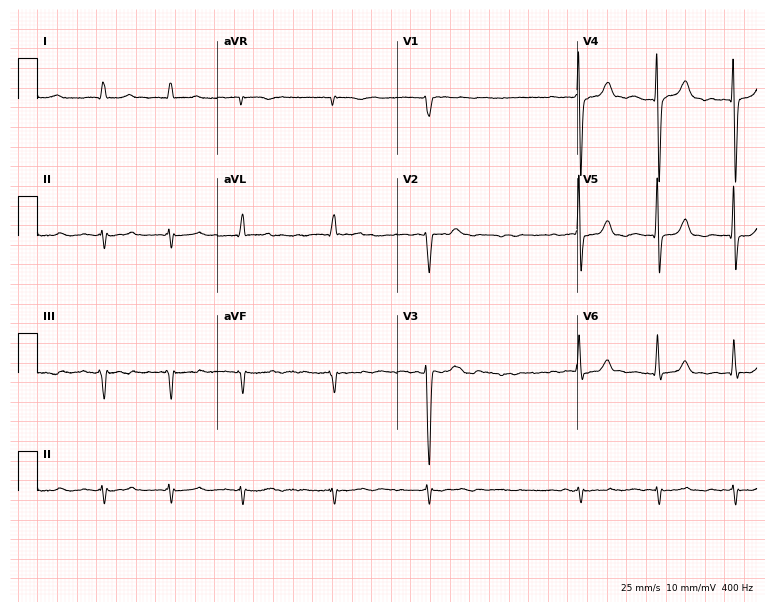
12-lead ECG from an 82-year-old man. Shows atrial fibrillation (AF).